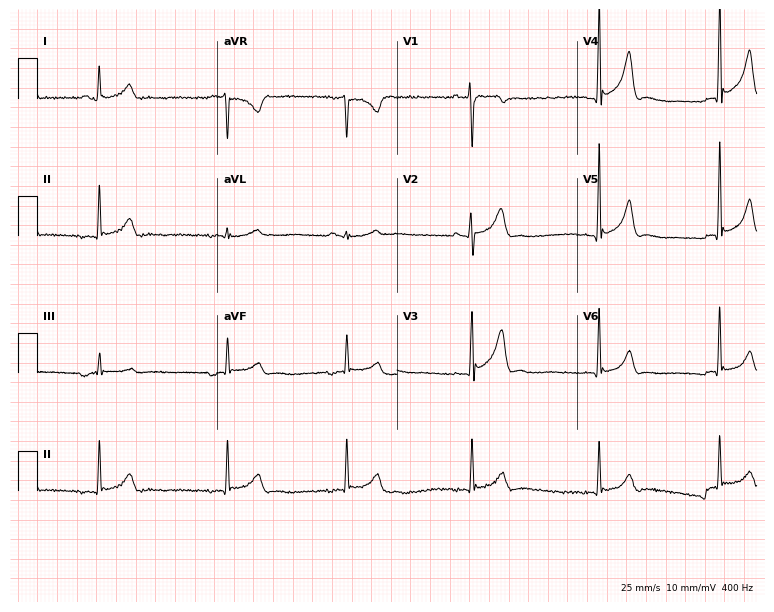
12-lead ECG from a 29-year-old male. Recorded interpretation: within normal limits.